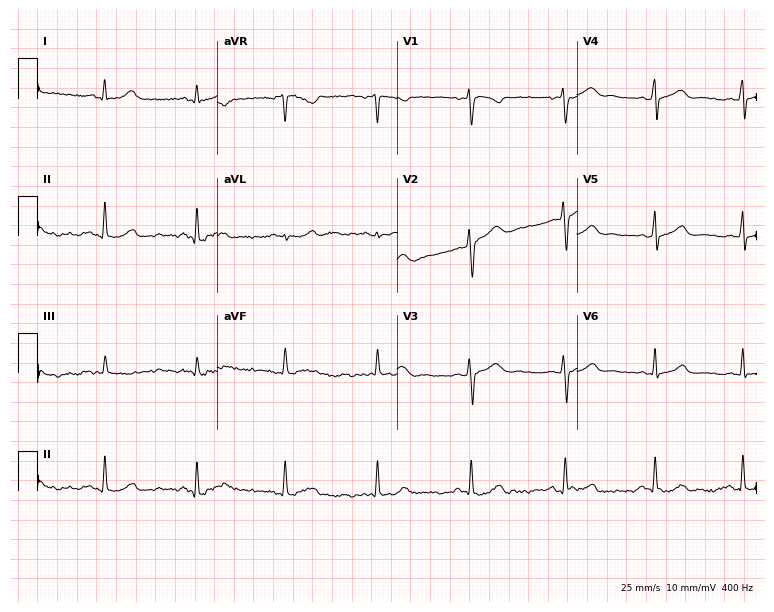
Electrocardiogram (7.3-second recording at 400 Hz), a 21-year-old female patient. Of the six screened findings (first-degree AV block, right bundle branch block (RBBB), left bundle branch block (LBBB), sinus bradycardia, atrial fibrillation (AF), sinus tachycardia), none is recorded.